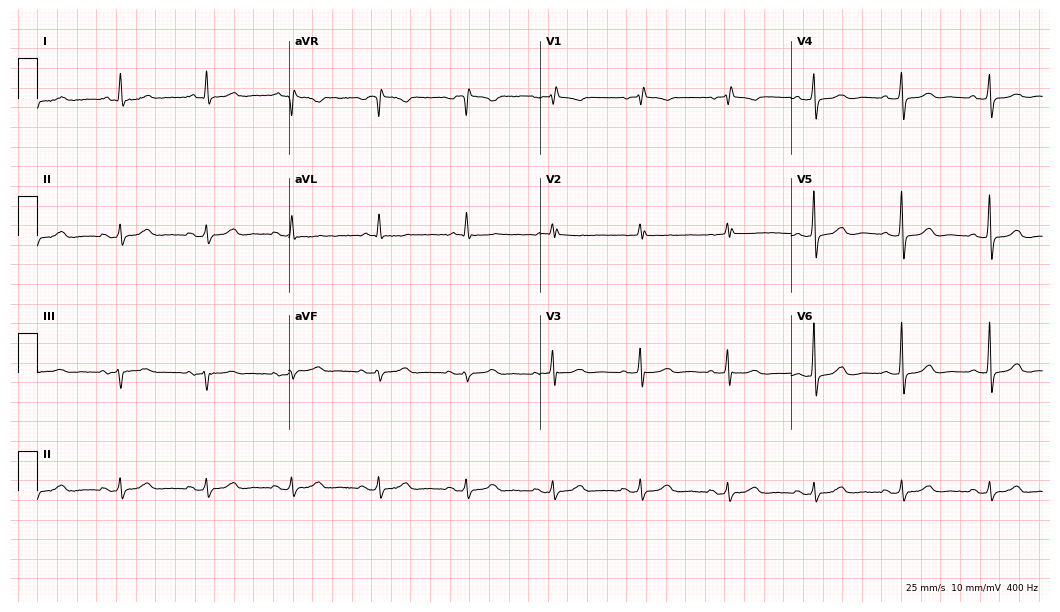
ECG — a female, 72 years old. Screened for six findings — first-degree AV block, right bundle branch block, left bundle branch block, sinus bradycardia, atrial fibrillation, sinus tachycardia — none is recorded.